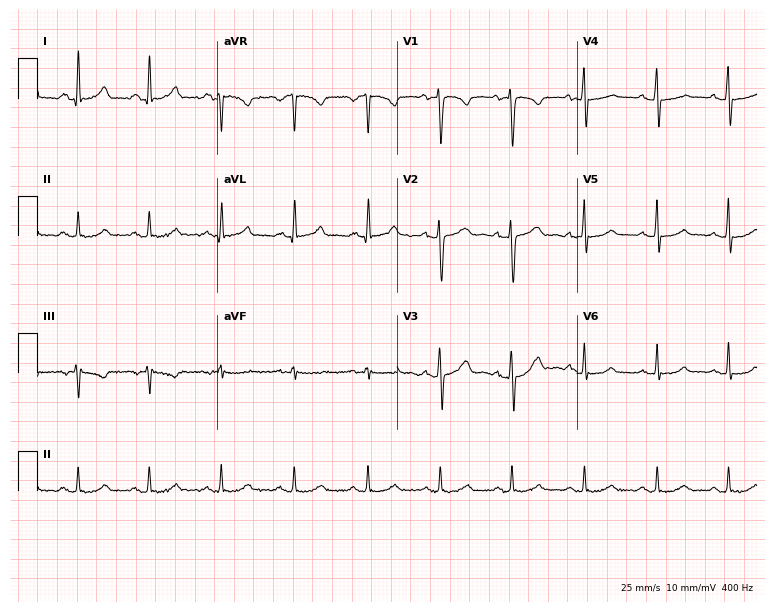
ECG (7.3-second recording at 400 Hz) — a 23-year-old woman. Screened for six findings — first-degree AV block, right bundle branch block, left bundle branch block, sinus bradycardia, atrial fibrillation, sinus tachycardia — none is recorded.